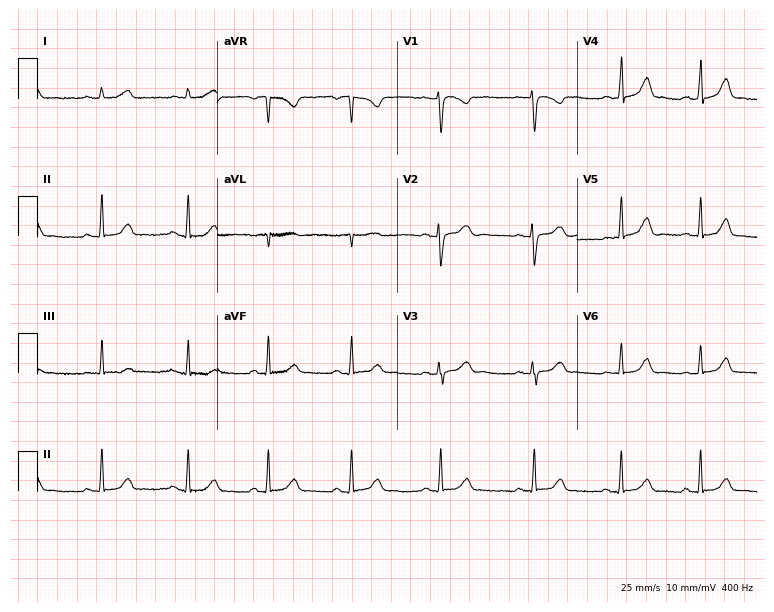
Resting 12-lead electrocardiogram. Patient: a 22-year-old female. Read as a normal ECG.